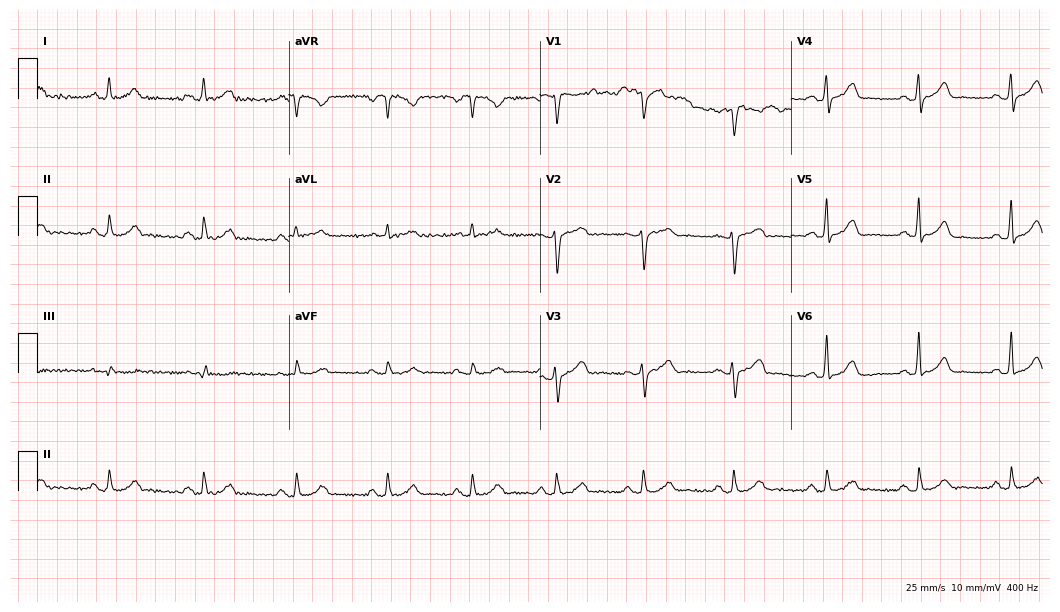
Resting 12-lead electrocardiogram (10.2-second recording at 400 Hz). Patient: a 59-year-old male. Read as a normal ECG.